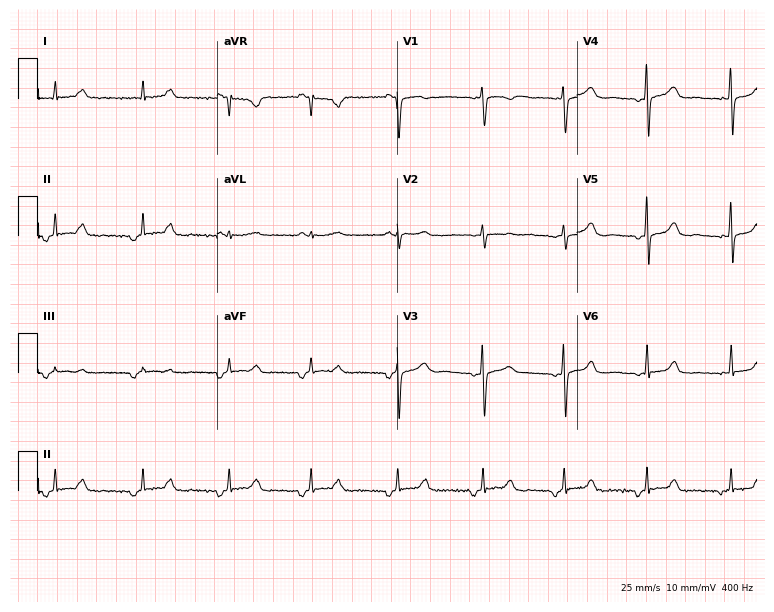
Standard 12-lead ECG recorded from a woman, 36 years old (7.3-second recording at 400 Hz). None of these six findings is recorded: first-degree AV block, right bundle branch block (RBBB), left bundle branch block (LBBB), sinus bradycardia, atrial fibrillation (AF), sinus tachycardia. Only these six findings were labelled.